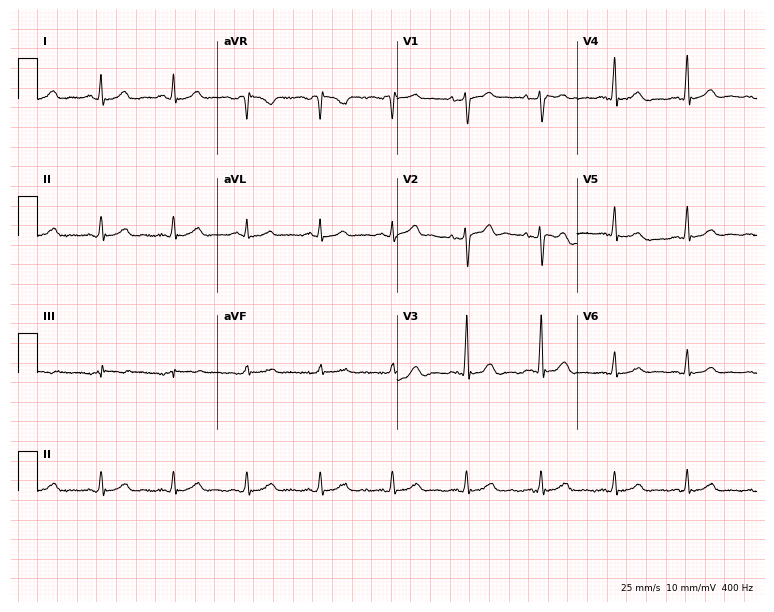
Resting 12-lead electrocardiogram (7.3-second recording at 400 Hz). Patient: a man, 43 years old. Read as a normal ECG.